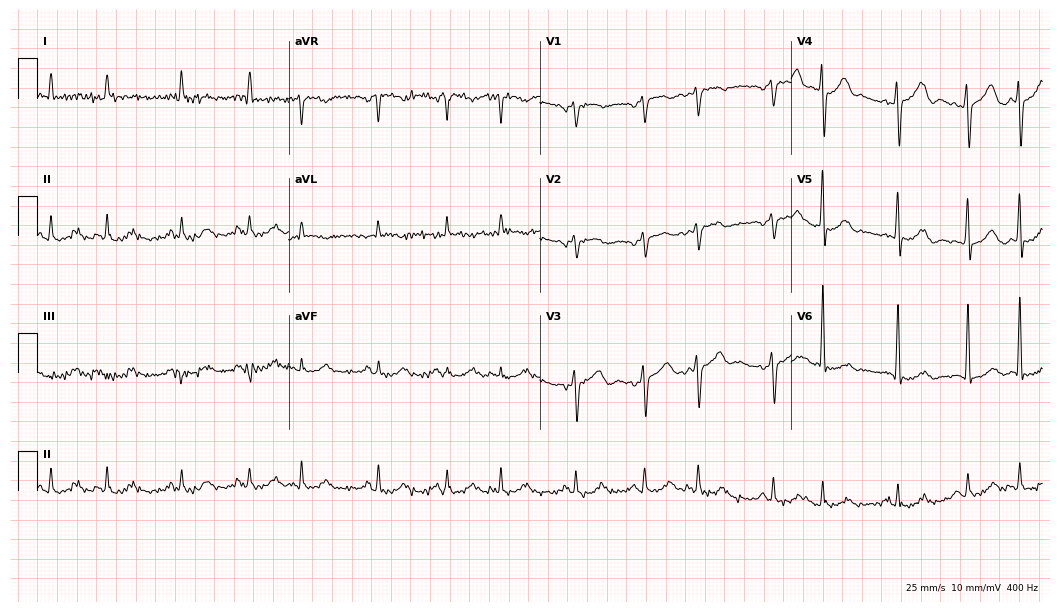
12-lead ECG (10.2-second recording at 400 Hz) from an 80-year-old male patient. Screened for six findings — first-degree AV block, right bundle branch block (RBBB), left bundle branch block (LBBB), sinus bradycardia, atrial fibrillation (AF), sinus tachycardia — none is recorded. Only these six findings were labelled.